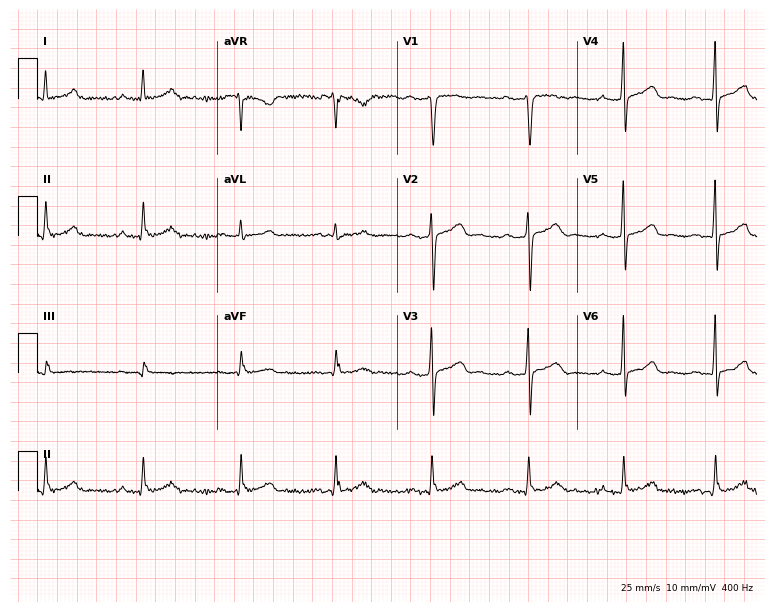
Resting 12-lead electrocardiogram. Patient: a man, 36 years old. Read as a normal ECG.